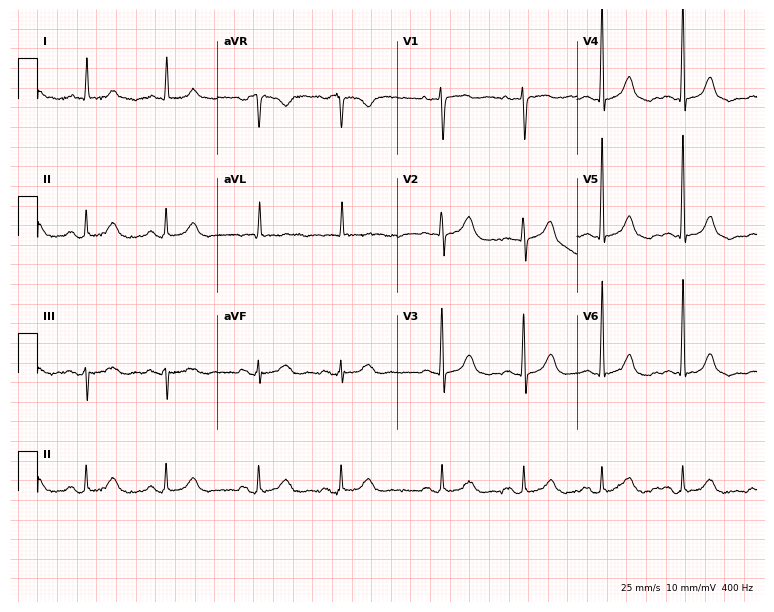
12-lead ECG from an 85-year-old male patient (7.3-second recording at 400 Hz). No first-degree AV block, right bundle branch block, left bundle branch block, sinus bradycardia, atrial fibrillation or sinus tachycardia recorded for this tracing. Only these six findings were labelled.